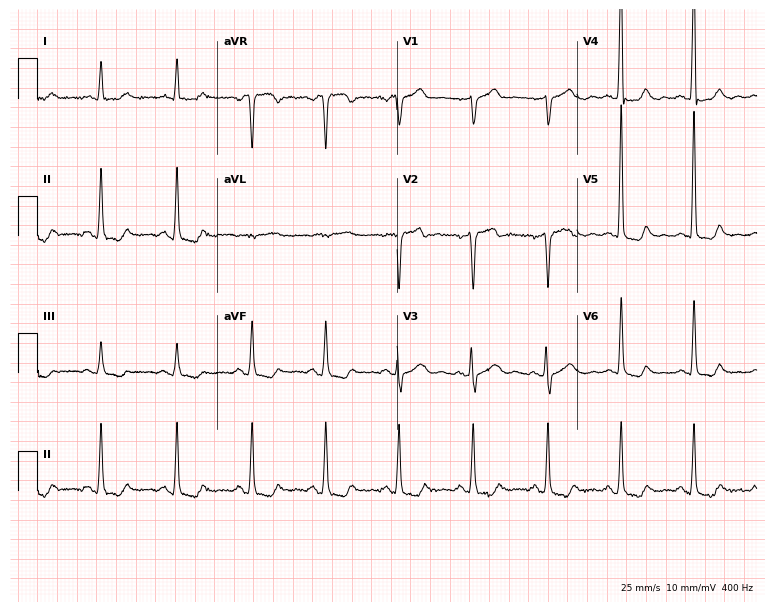
12-lead ECG (7.3-second recording at 400 Hz) from a male, 68 years old. Screened for six findings — first-degree AV block, right bundle branch block, left bundle branch block, sinus bradycardia, atrial fibrillation, sinus tachycardia — none is recorded. Other findings, if any, are not listed.